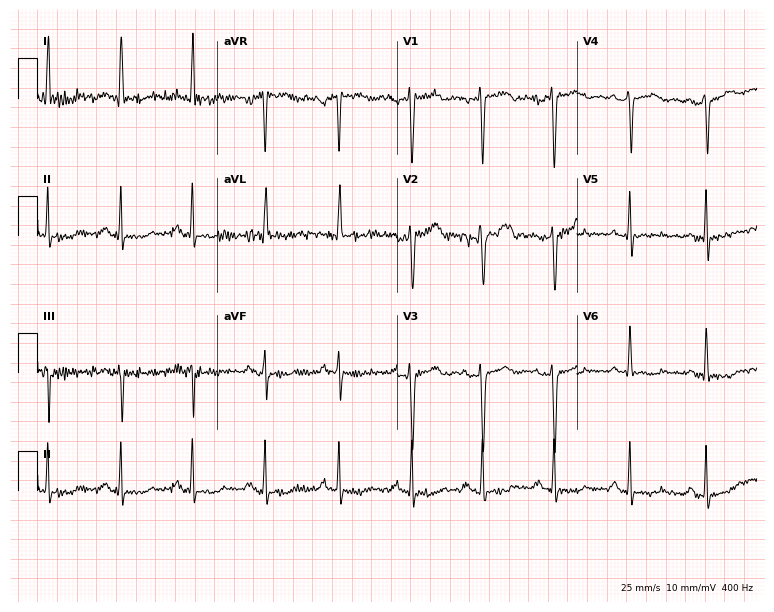
ECG (7.3-second recording at 400 Hz) — a 48-year-old female patient. Screened for six findings — first-degree AV block, right bundle branch block, left bundle branch block, sinus bradycardia, atrial fibrillation, sinus tachycardia — none is recorded. Findings outside these six are not listed.